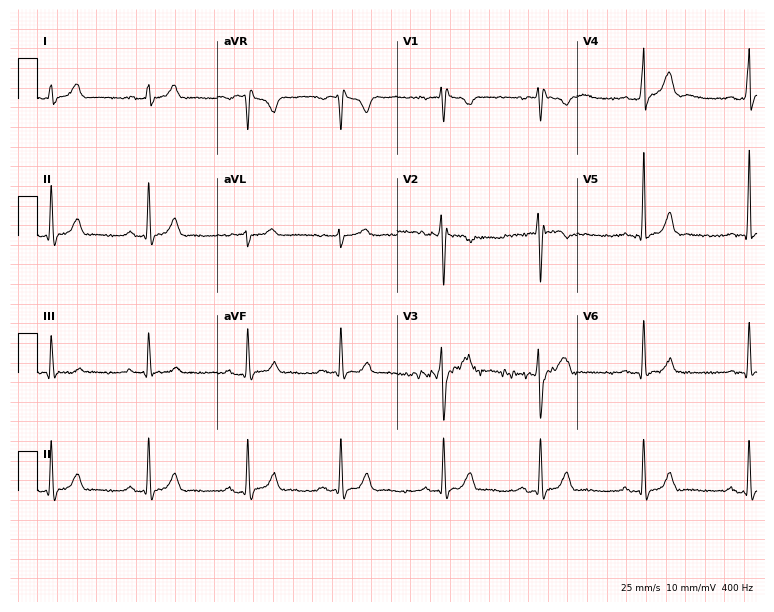
12-lead ECG (7.3-second recording at 400 Hz) from a 25-year-old man. Screened for six findings — first-degree AV block, right bundle branch block, left bundle branch block, sinus bradycardia, atrial fibrillation, sinus tachycardia — none is recorded.